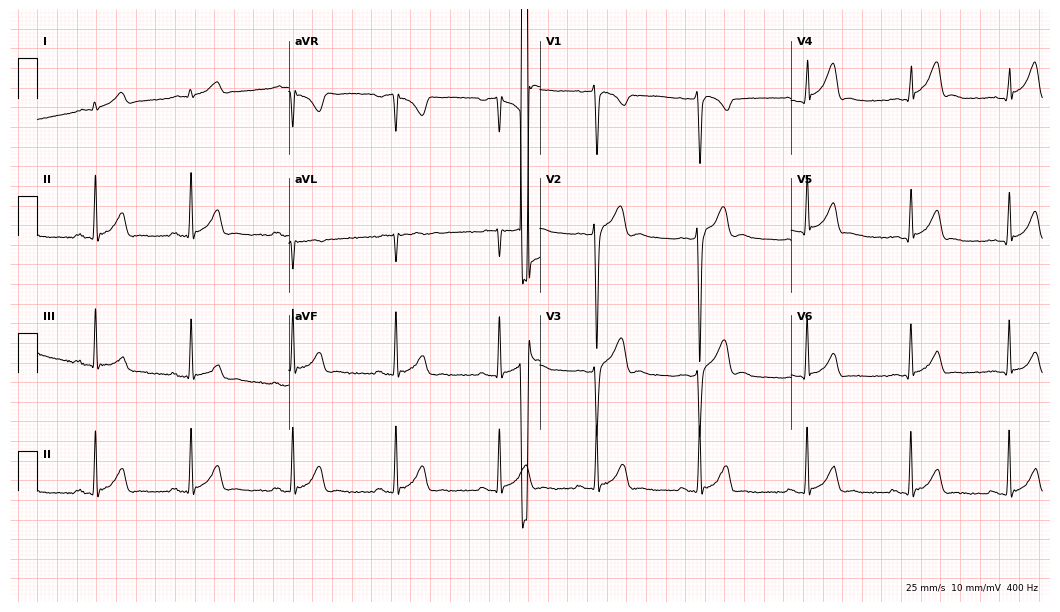
Electrocardiogram (10.2-second recording at 400 Hz), a man, 25 years old. Of the six screened findings (first-degree AV block, right bundle branch block, left bundle branch block, sinus bradycardia, atrial fibrillation, sinus tachycardia), none is recorded. Only these six findings were labelled.